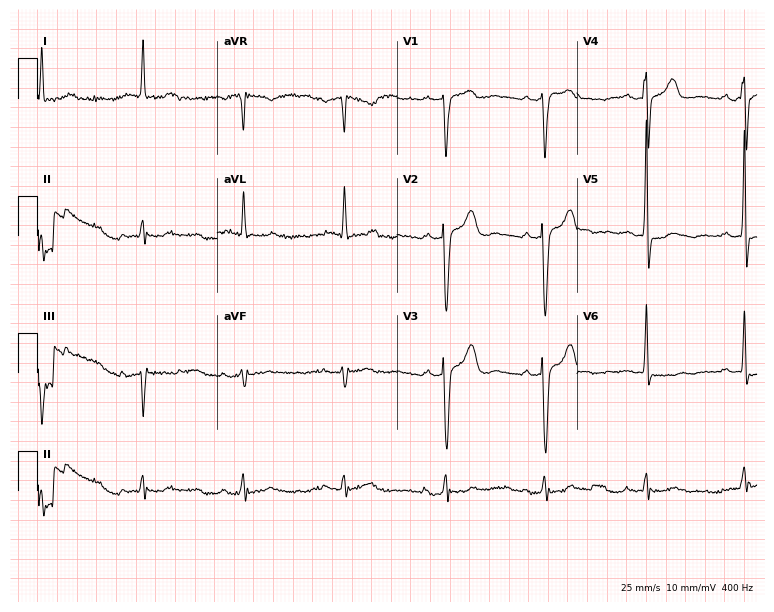
Resting 12-lead electrocardiogram. Patient: a man, 78 years old. None of these six findings is recorded: first-degree AV block, right bundle branch block, left bundle branch block, sinus bradycardia, atrial fibrillation, sinus tachycardia.